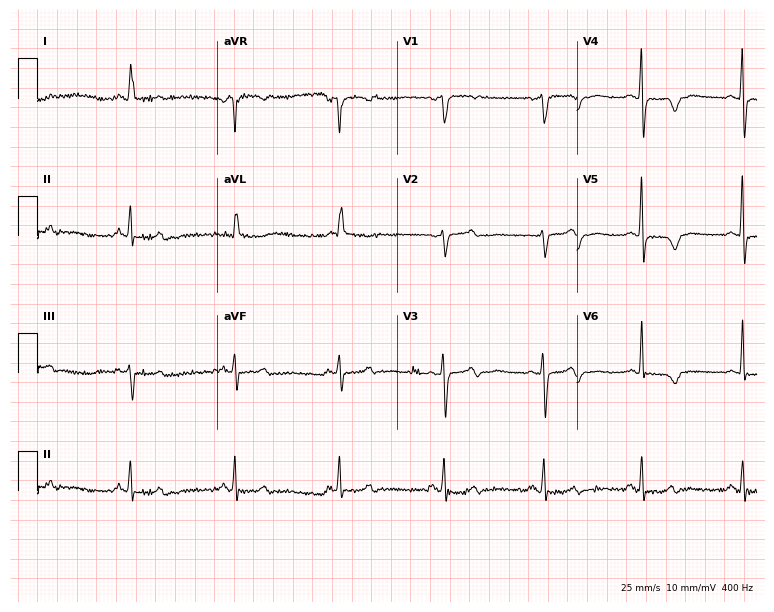
Resting 12-lead electrocardiogram. Patient: a 67-year-old female. None of these six findings is recorded: first-degree AV block, right bundle branch block, left bundle branch block, sinus bradycardia, atrial fibrillation, sinus tachycardia. Other findings, if any, are not listed.